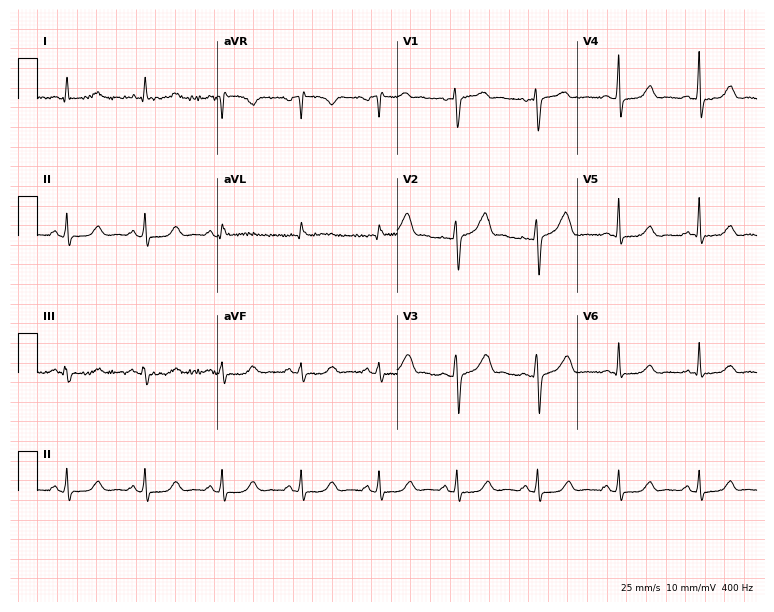
Resting 12-lead electrocardiogram (7.3-second recording at 400 Hz). Patient: a 63-year-old female. Read as a normal ECG.